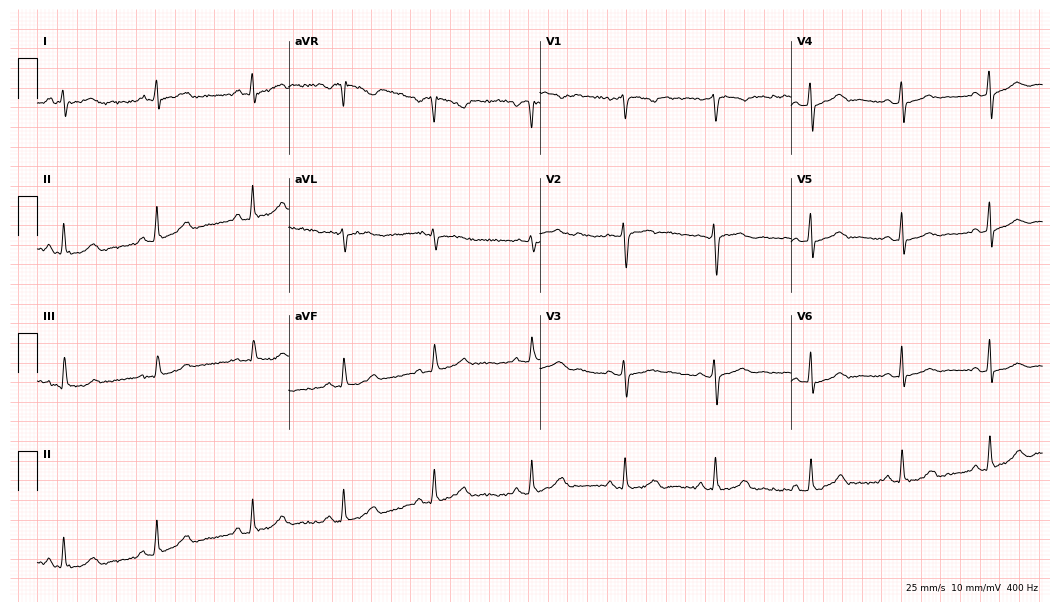
ECG — a 43-year-old woman. Labelled as a normal ECG.